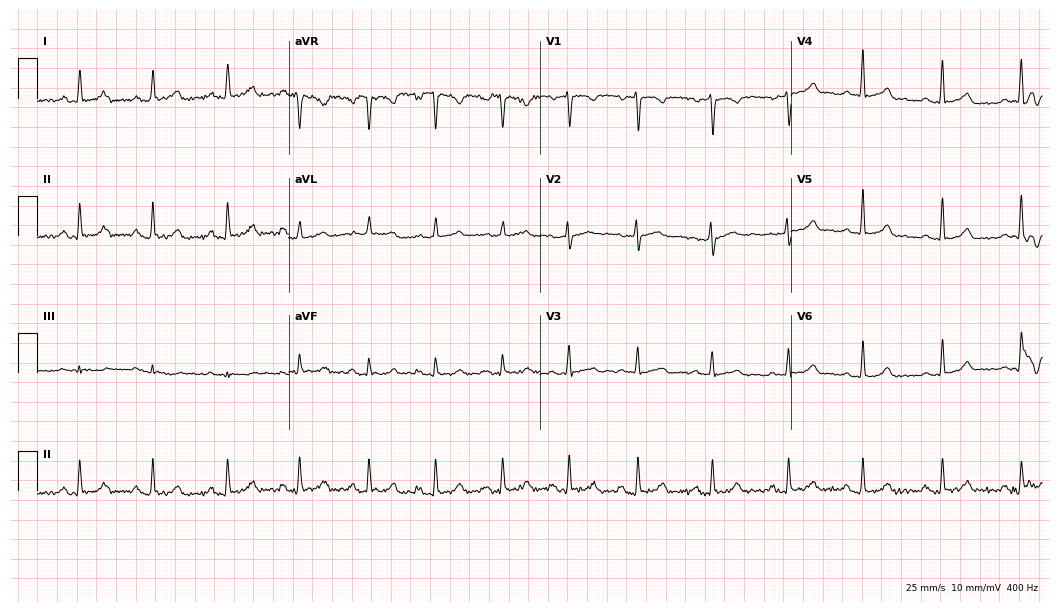
Electrocardiogram (10.2-second recording at 400 Hz), a female patient, 28 years old. Overall reading on record: normal ECG.